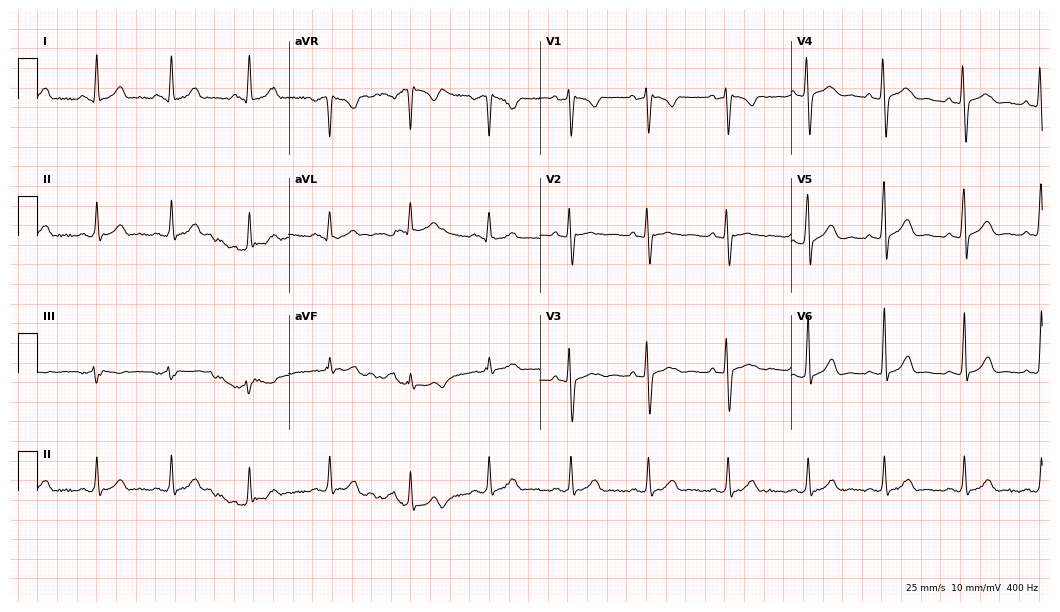
Standard 12-lead ECG recorded from a female, 20 years old (10.2-second recording at 400 Hz). Read as a normal ECG.